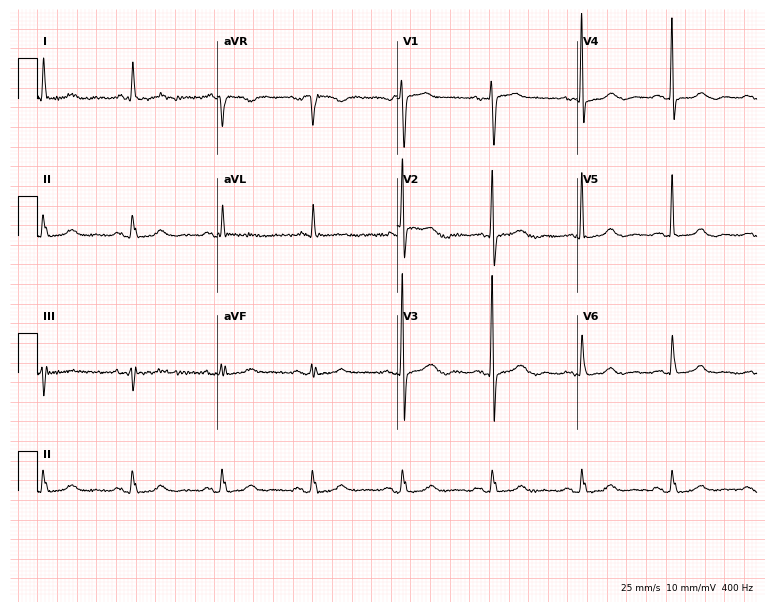
12-lead ECG from a female, 84 years old (7.3-second recording at 400 Hz). Recorded interpretation: within normal limits.